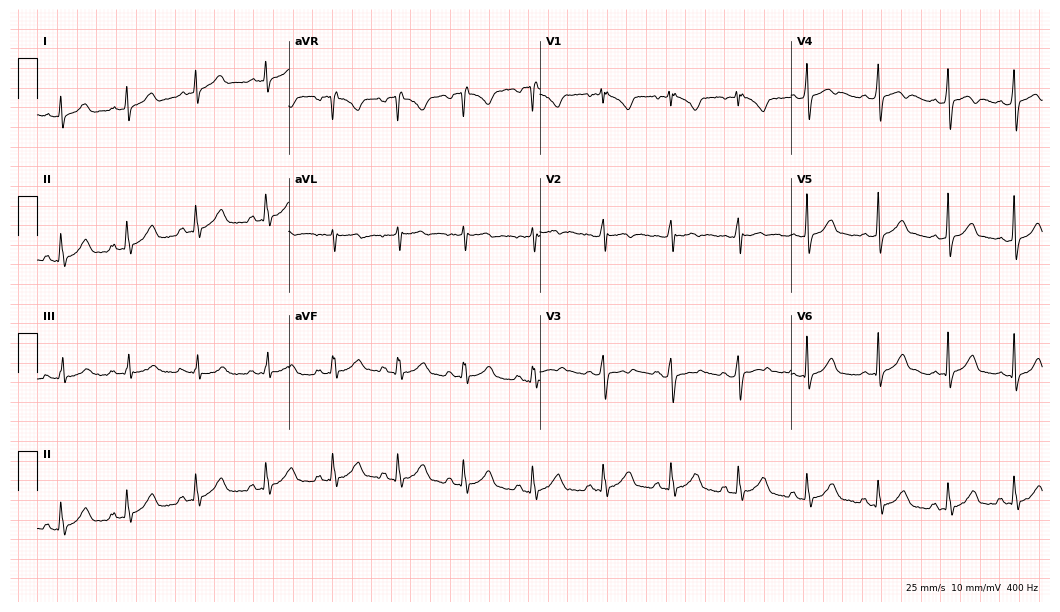
Electrocardiogram, a 20-year-old female. Overall reading on record: normal ECG.